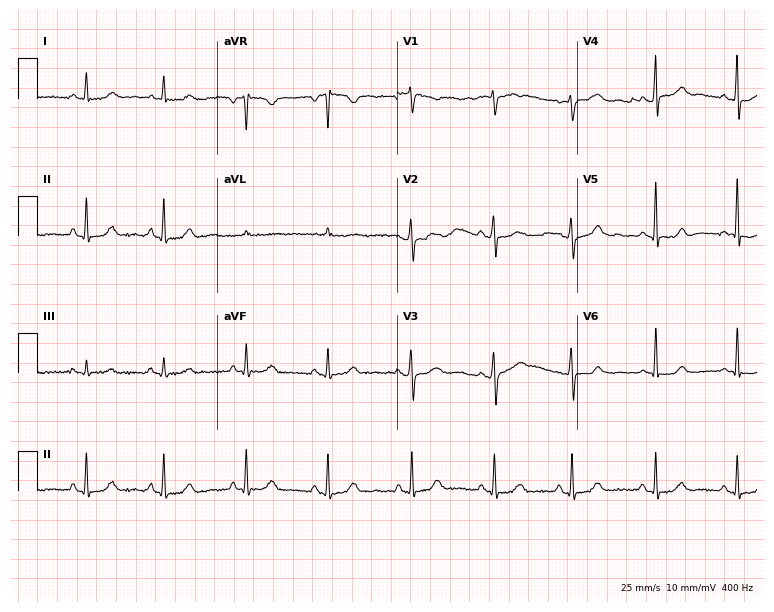
Standard 12-lead ECG recorded from a female patient, 48 years old (7.3-second recording at 400 Hz). Read as a normal ECG.